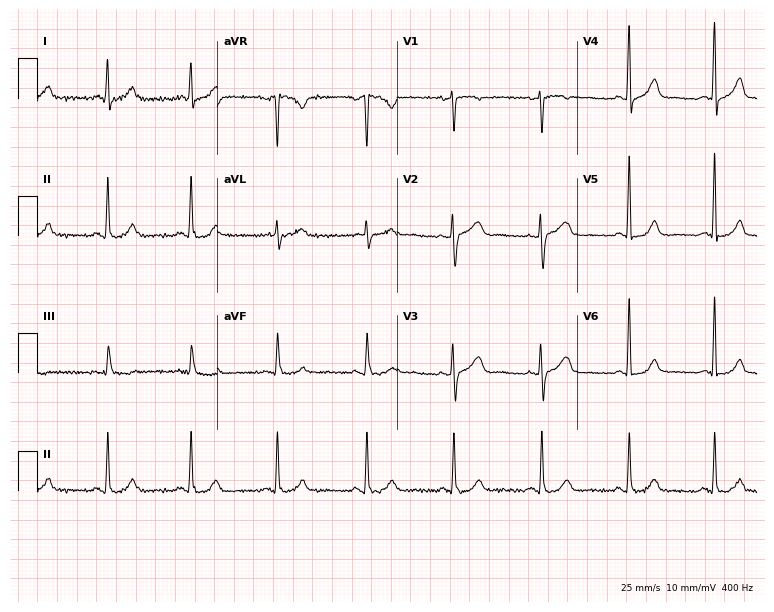
Electrocardiogram (7.3-second recording at 400 Hz), a 51-year-old woman. Overall reading on record: normal ECG.